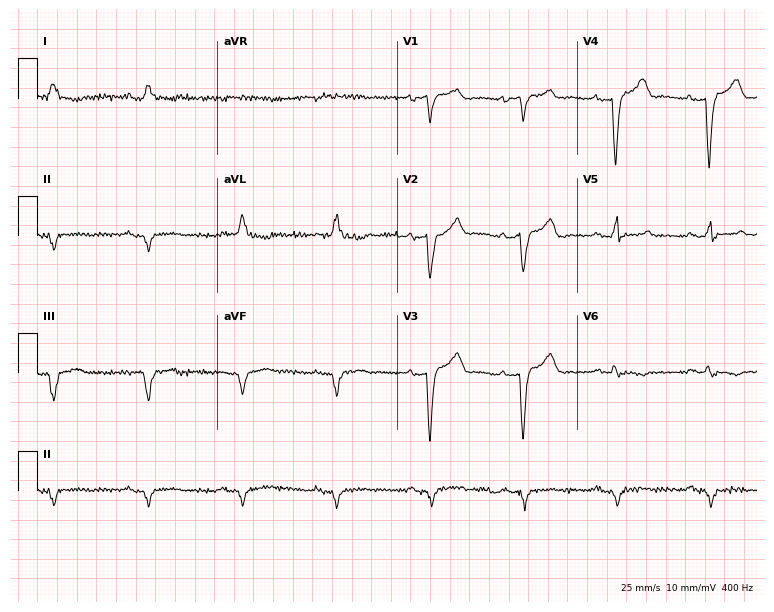
12-lead ECG (7.3-second recording at 400 Hz) from a 46-year-old male patient. Screened for six findings — first-degree AV block, right bundle branch block, left bundle branch block, sinus bradycardia, atrial fibrillation, sinus tachycardia — none is recorded. Only these six findings were labelled.